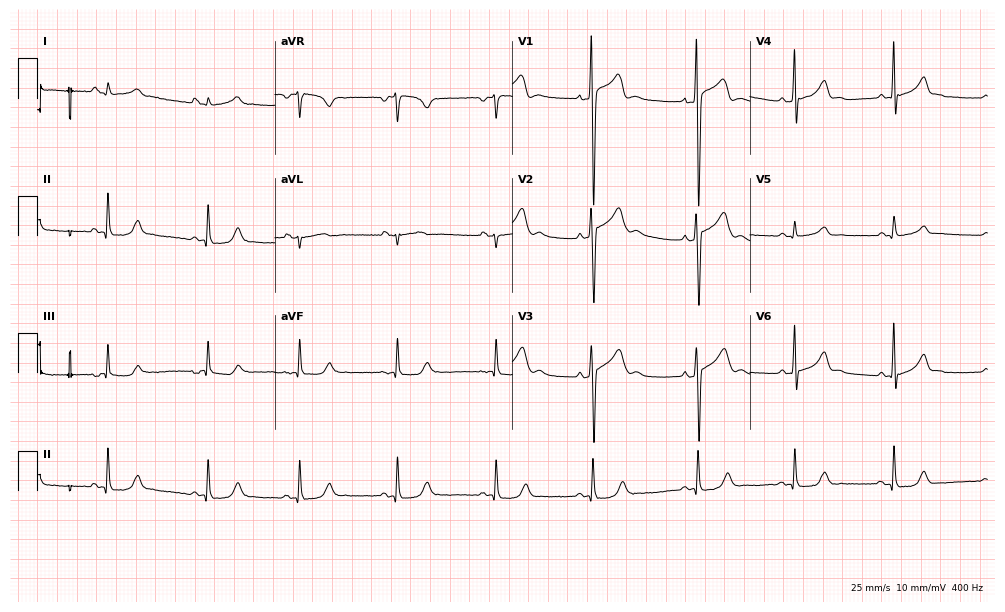
Standard 12-lead ECG recorded from a 17-year-old male (9.7-second recording at 400 Hz). Read as a normal ECG.